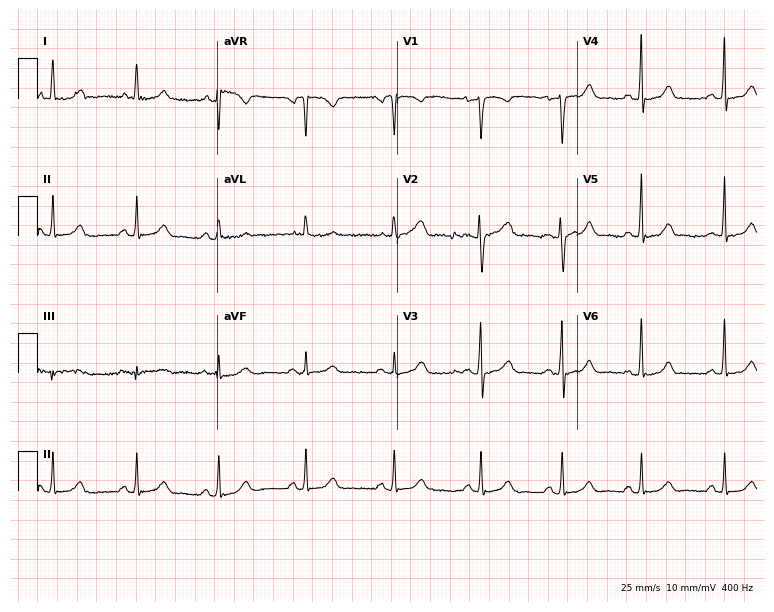
12-lead ECG from a female patient, 23 years old. Recorded interpretation: within normal limits.